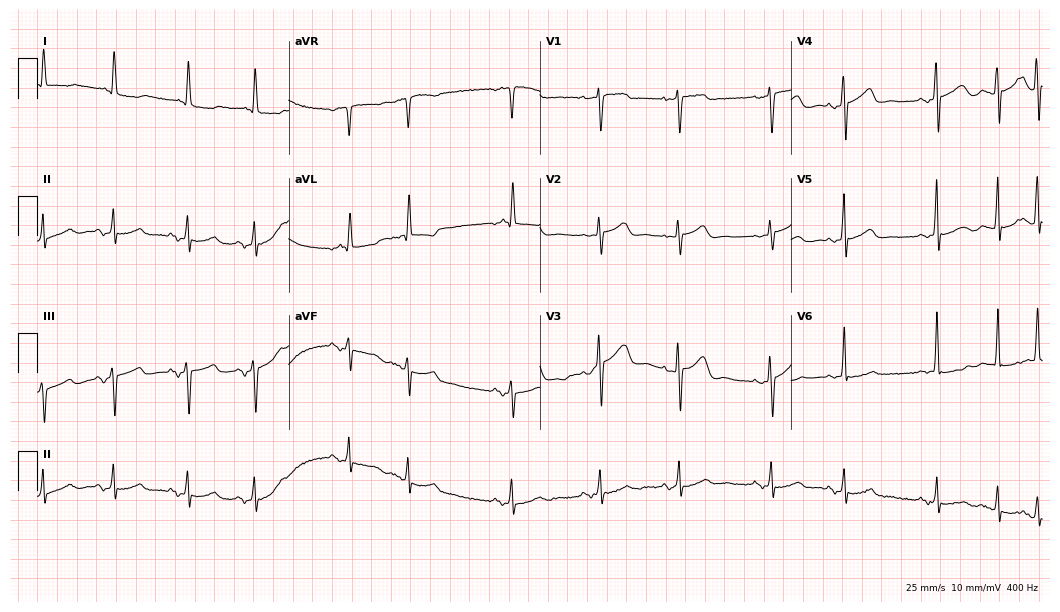
Resting 12-lead electrocardiogram (10.2-second recording at 400 Hz). Patient: a 77-year-old female. None of these six findings is recorded: first-degree AV block, right bundle branch block, left bundle branch block, sinus bradycardia, atrial fibrillation, sinus tachycardia. Other findings, if any, are not listed.